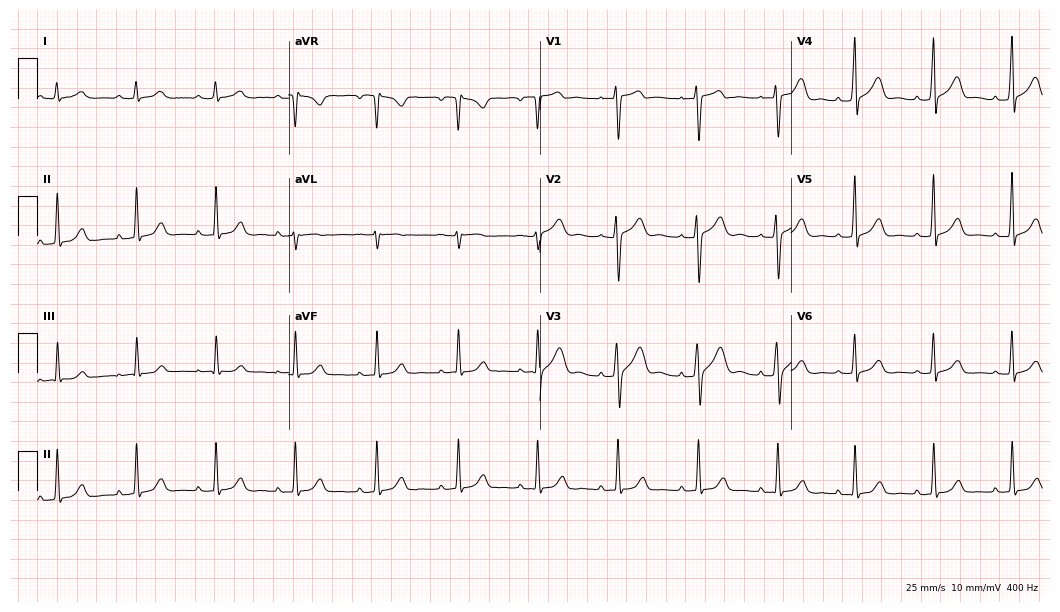
12-lead ECG from a man, 36 years old. Labelled as a normal ECG.